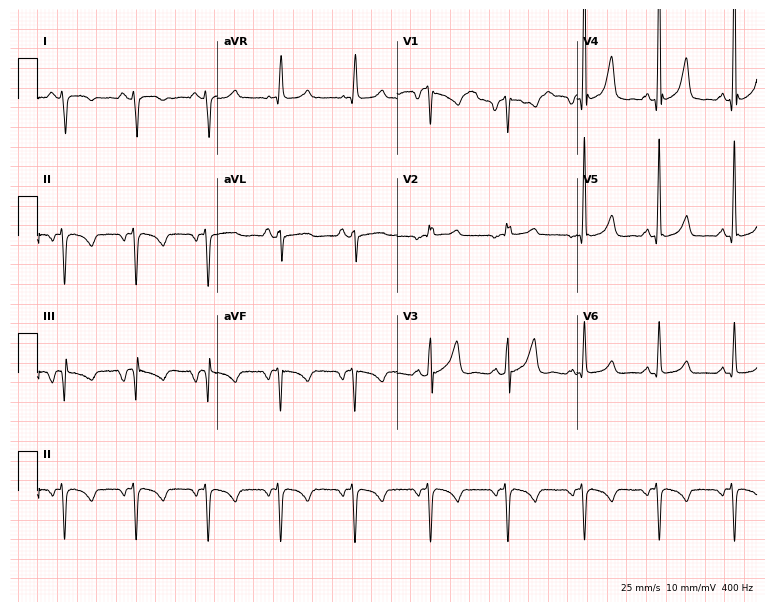
Resting 12-lead electrocardiogram (7.3-second recording at 400 Hz). Patient: a woman, 63 years old. None of these six findings is recorded: first-degree AV block, right bundle branch block (RBBB), left bundle branch block (LBBB), sinus bradycardia, atrial fibrillation (AF), sinus tachycardia.